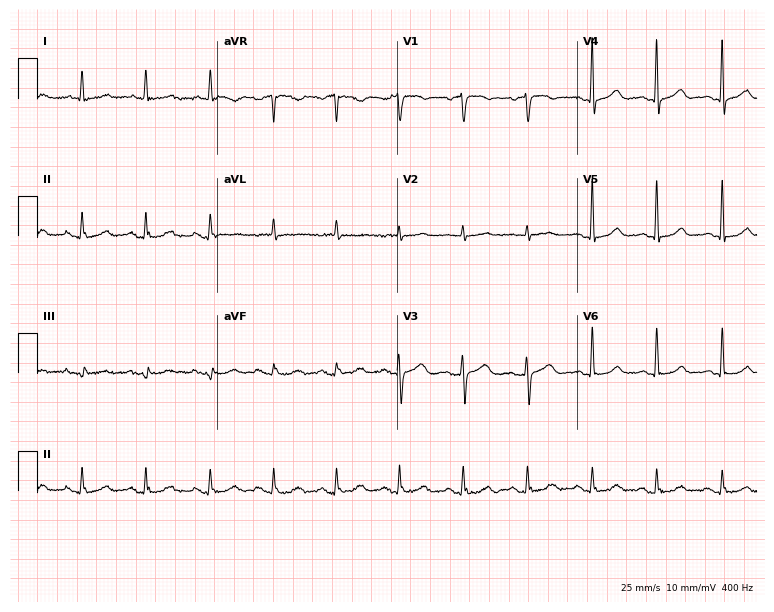
Electrocardiogram, an 85-year-old female. Overall reading on record: normal ECG.